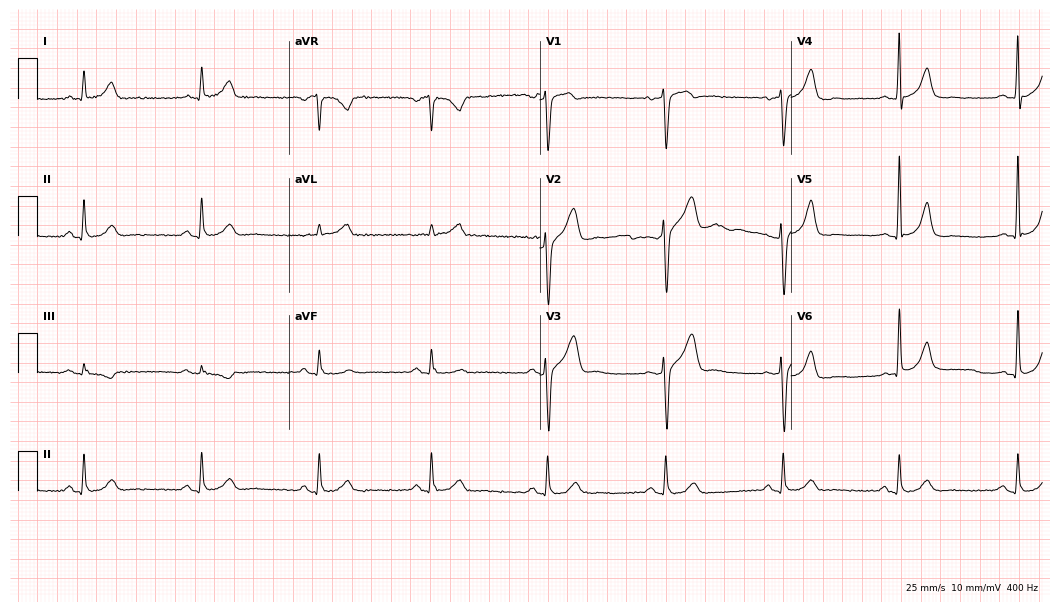
12-lead ECG (10.2-second recording at 400 Hz) from a 63-year-old man. Labelled as a normal ECG.